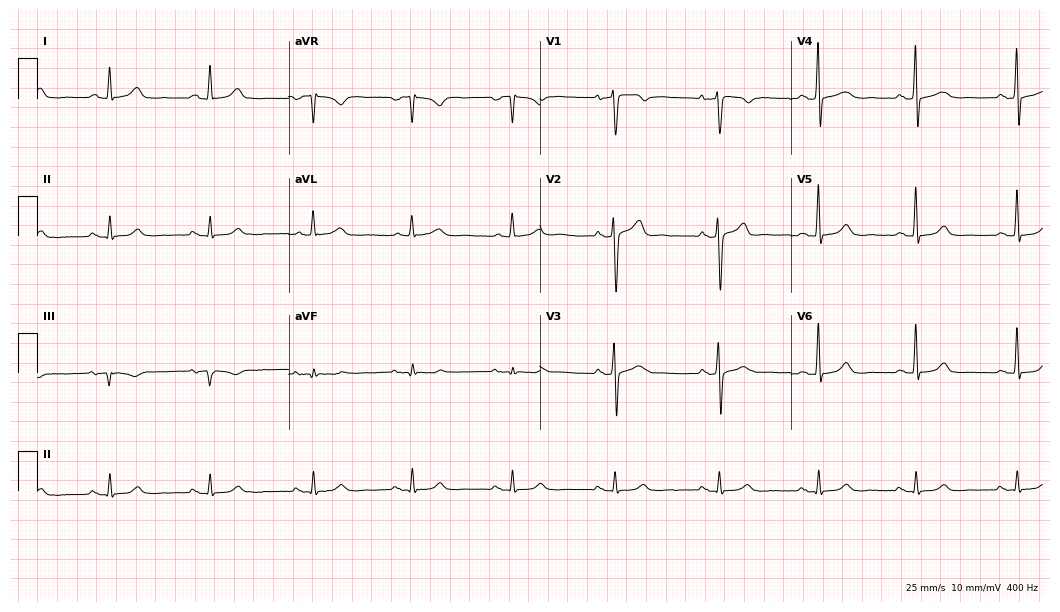
12-lead ECG from a 68-year-old man (10.2-second recording at 400 Hz). Recorded interpretation: within normal limits.